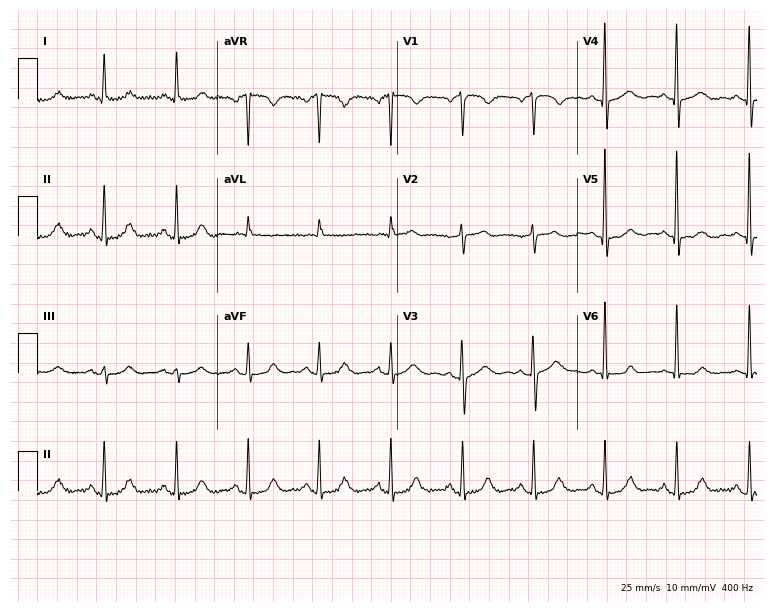
Resting 12-lead electrocardiogram. Patient: a female, 52 years old. Read as a normal ECG.